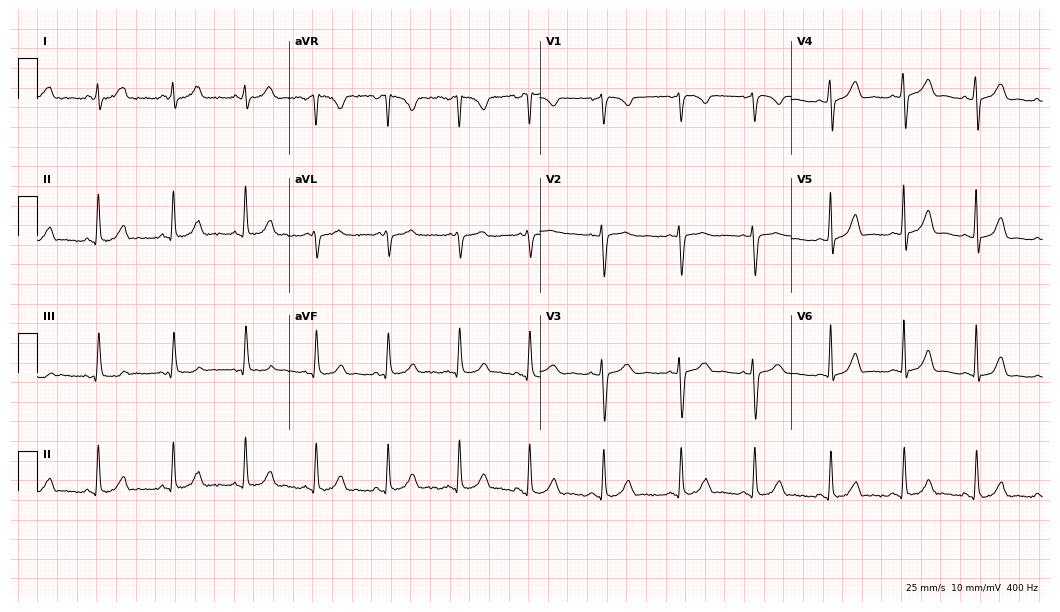
Electrocardiogram (10.2-second recording at 400 Hz), a 37-year-old woman. Overall reading on record: normal ECG.